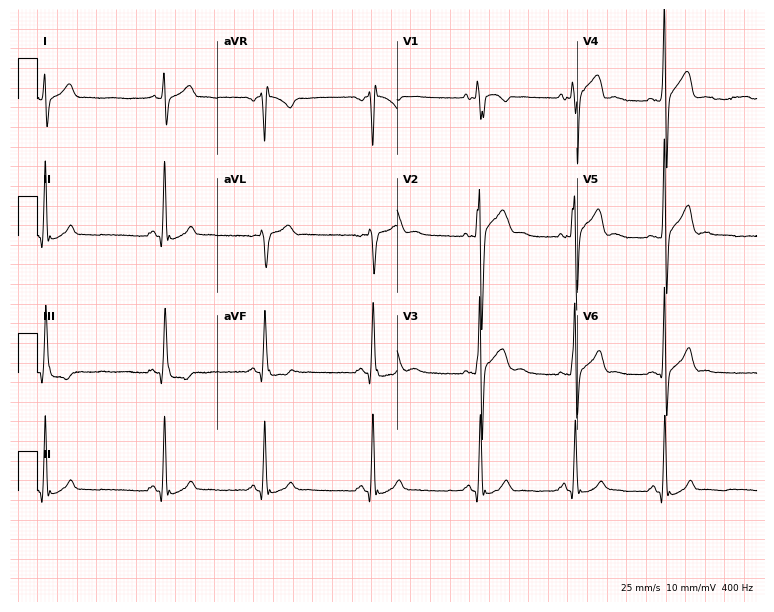
Resting 12-lead electrocardiogram (7.3-second recording at 400 Hz). Patient: a male, 24 years old. Read as a normal ECG.